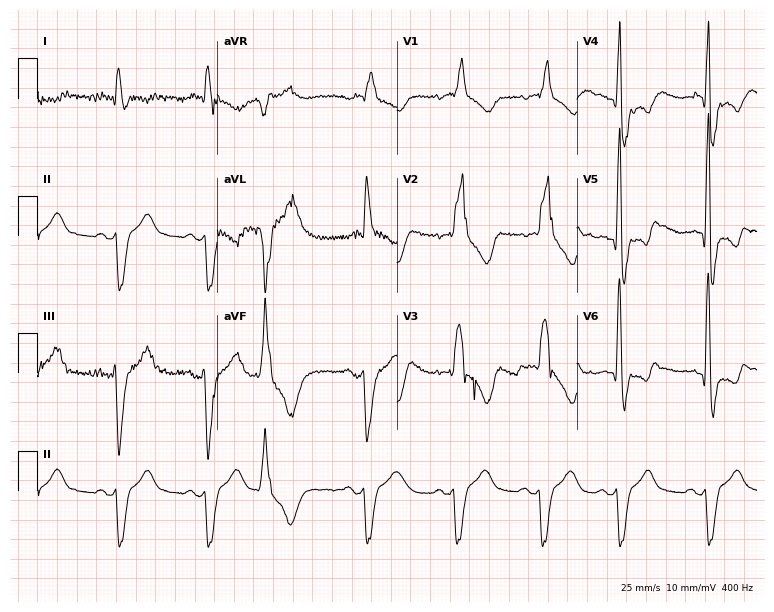
ECG (7.3-second recording at 400 Hz) — a 51-year-old man. Findings include right bundle branch block.